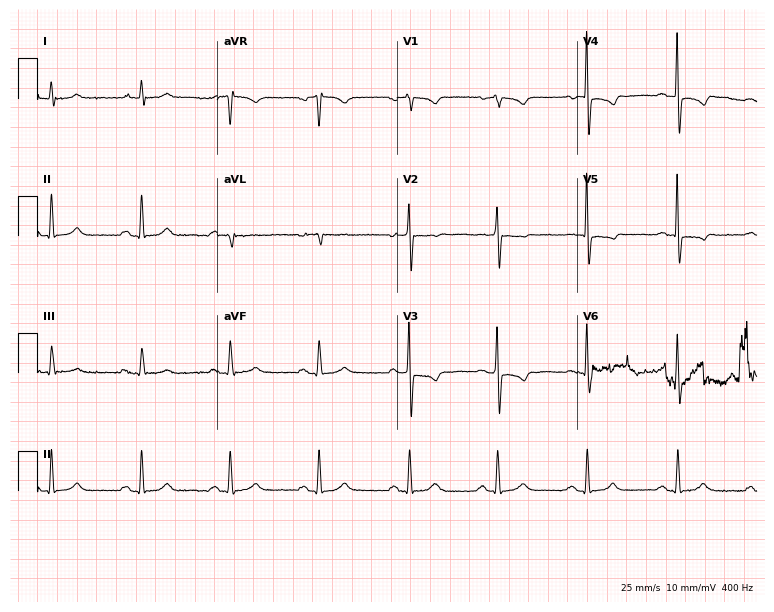
12-lead ECG from a female, 68 years old. Labelled as a normal ECG.